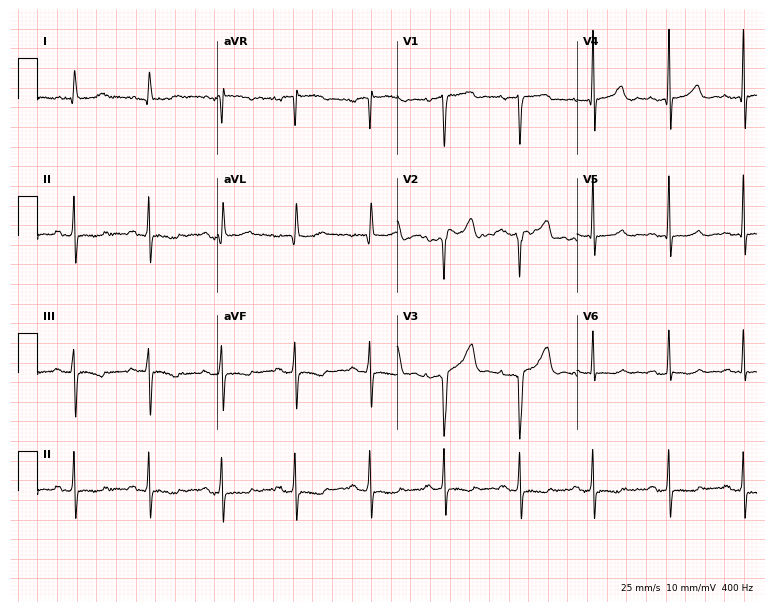
Resting 12-lead electrocardiogram. Patient: a 64-year-old woman. None of these six findings is recorded: first-degree AV block, right bundle branch block (RBBB), left bundle branch block (LBBB), sinus bradycardia, atrial fibrillation (AF), sinus tachycardia. Only these six findings were labelled.